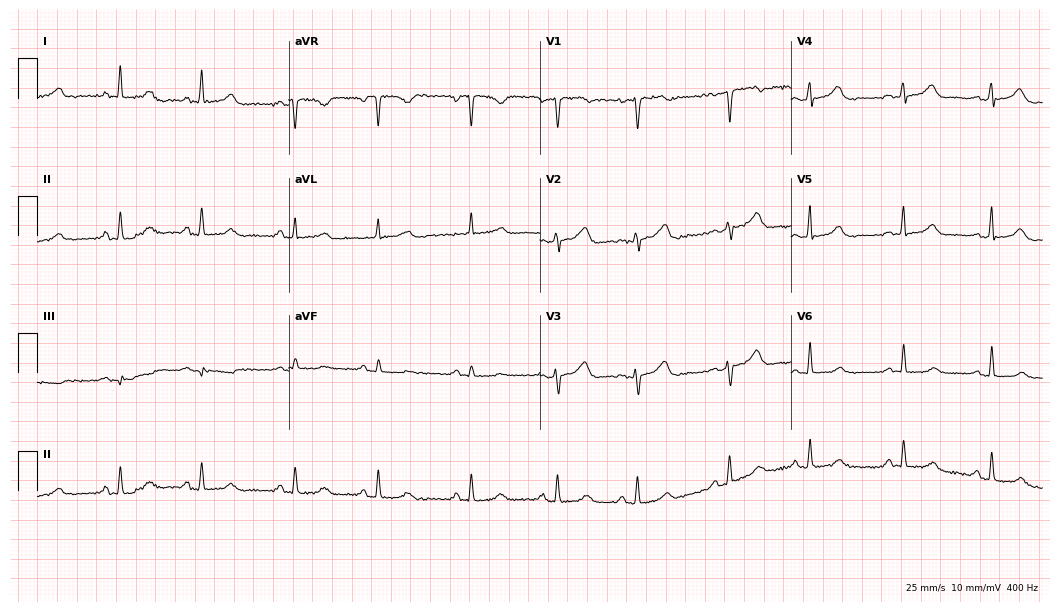
Standard 12-lead ECG recorded from a 51-year-old female. Read as a normal ECG.